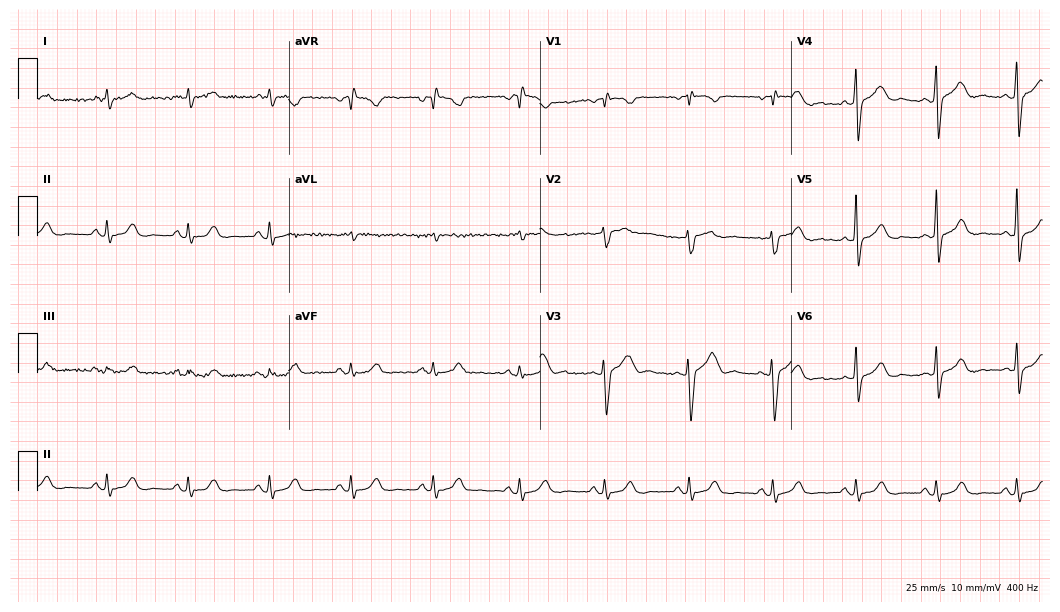
ECG (10.2-second recording at 400 Hz) — a female, 49 years old. Labelled as a normal ECG.